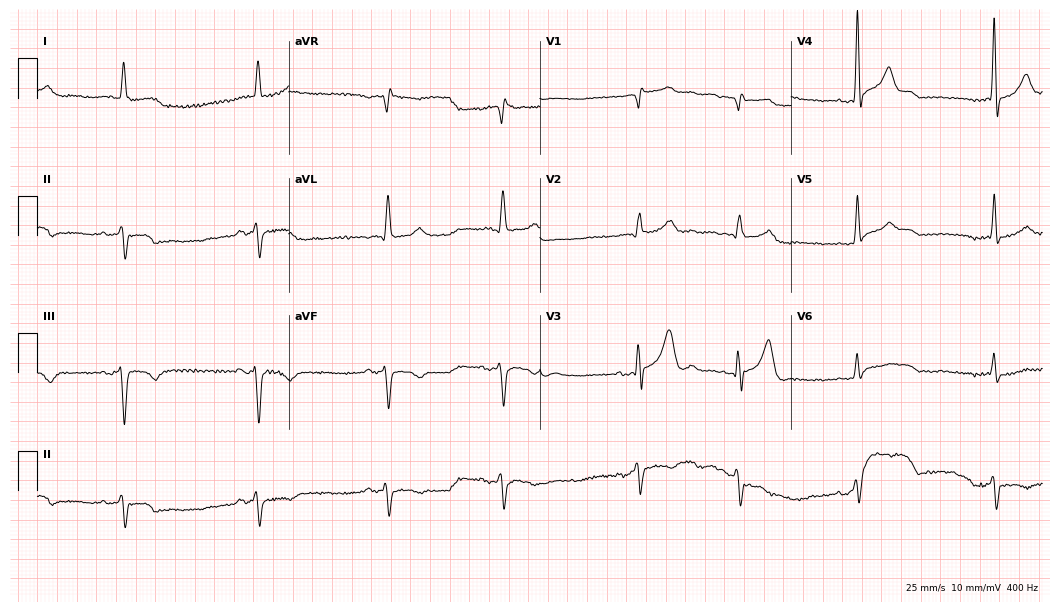
Electrocardiogram (10.2-second recording at 400 Hz), a male, 79 years old. Interpretation includes sinus bradycardia (a sinus rate of 50 beats per minute or less).